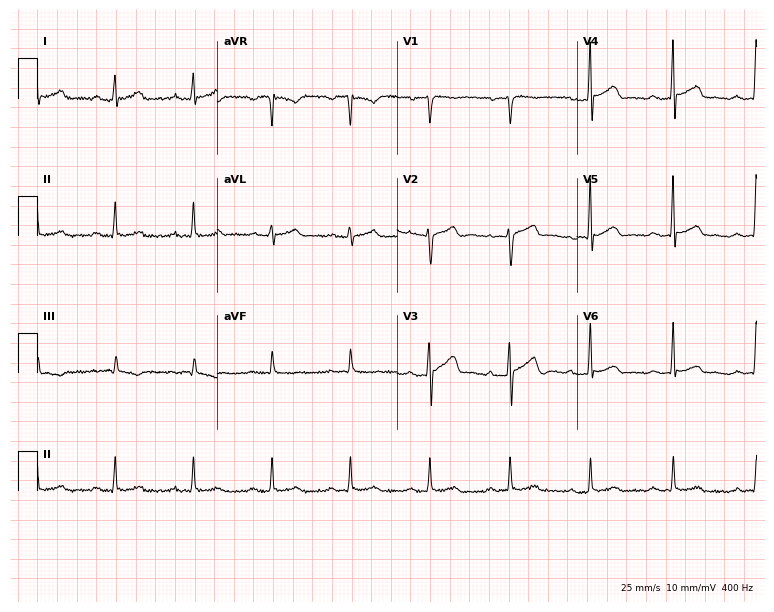
12-lead ECG from a 58-year-old male patient (7.3-second recording at 400 Hz). No first-degree AV block, right bundle branch block, left bundle branch block, sinus bradycardia, atrial fibrillation or sinus tachycardia recorded for this tracing.